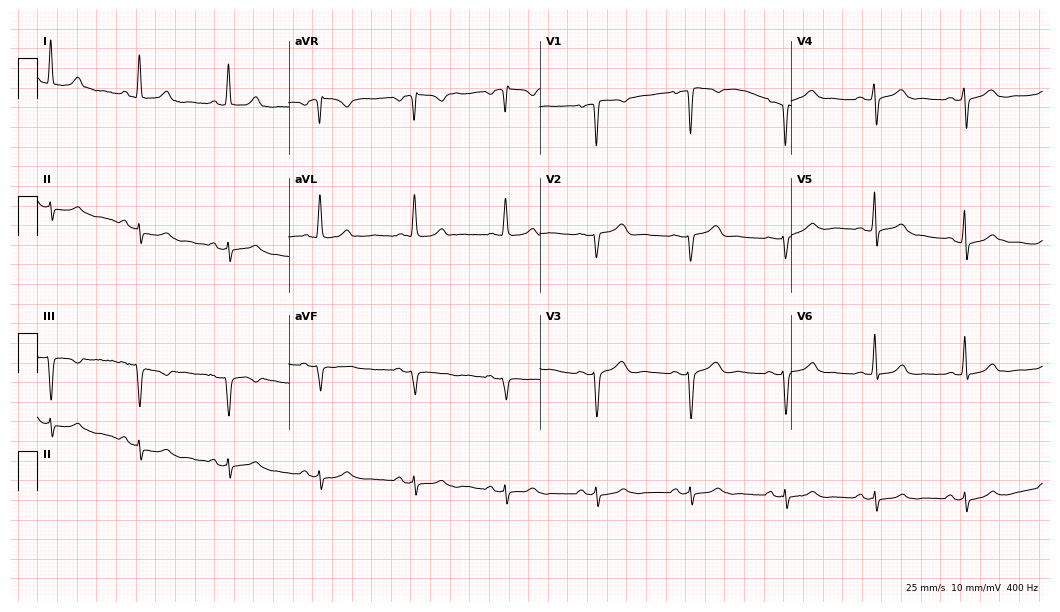
ECG (10.2-second recording at 400 Hz) — a 41-year-old female patient. Screened for six findings — first-degree AV block, right bundle branch block, left bundle branch block, sinus bradycardia, atrial fibrillation, sinus tachycardia — none is recorded.